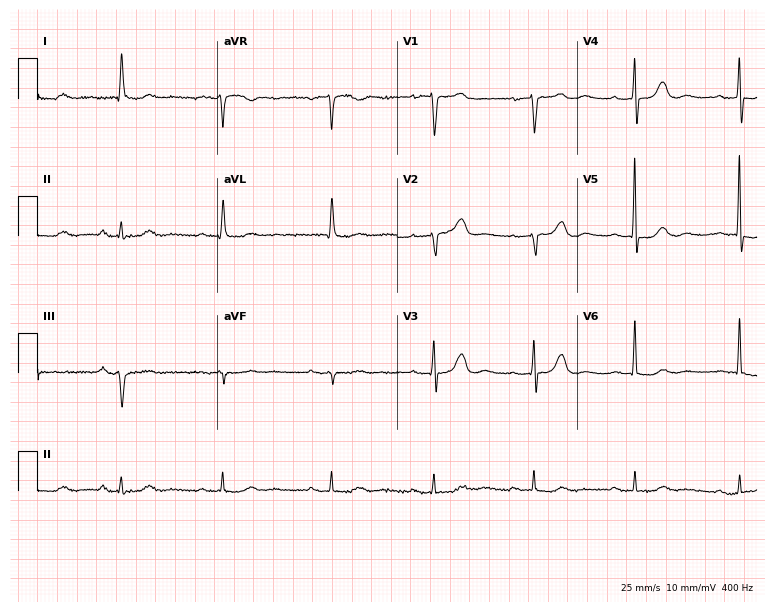
12-lead ECG from an 84-year-old woman. Shows first-degree AV block.